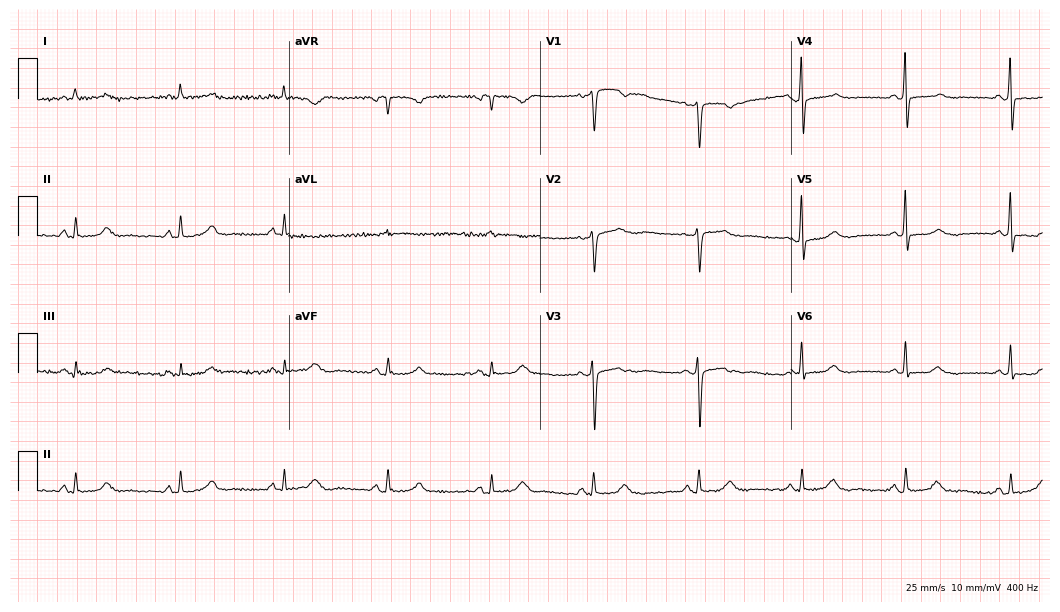
12-lead ECG (10.2-second recording at 400 Hz) from a 66-year-old female patient. Labelled as a normal ECG.